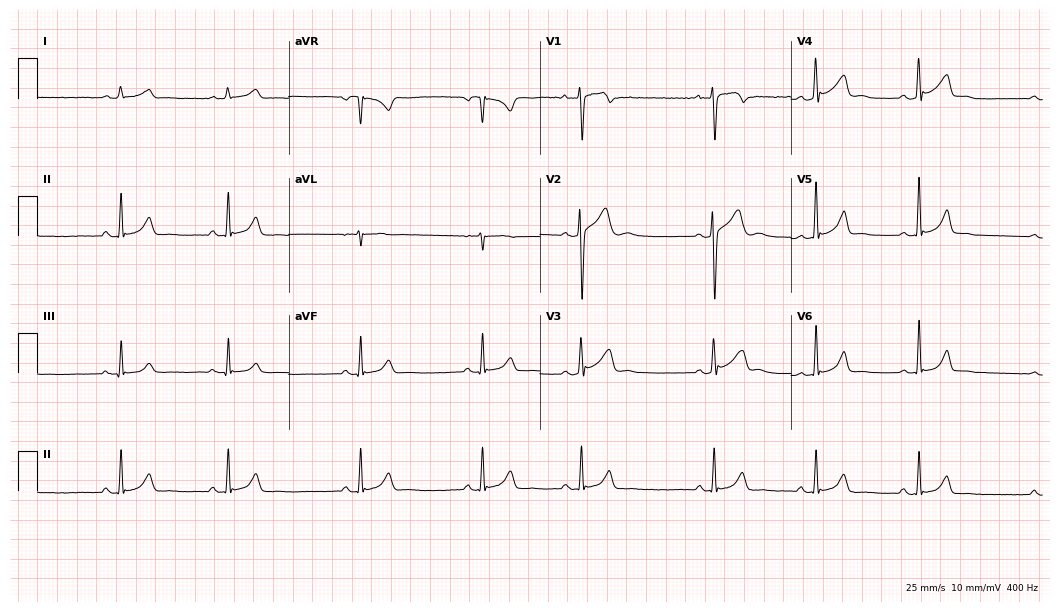
12-lead ECG from an 18-year-old male patient (10.2-second recording at 400 Hz). Recorded interpretation: within normal limits.